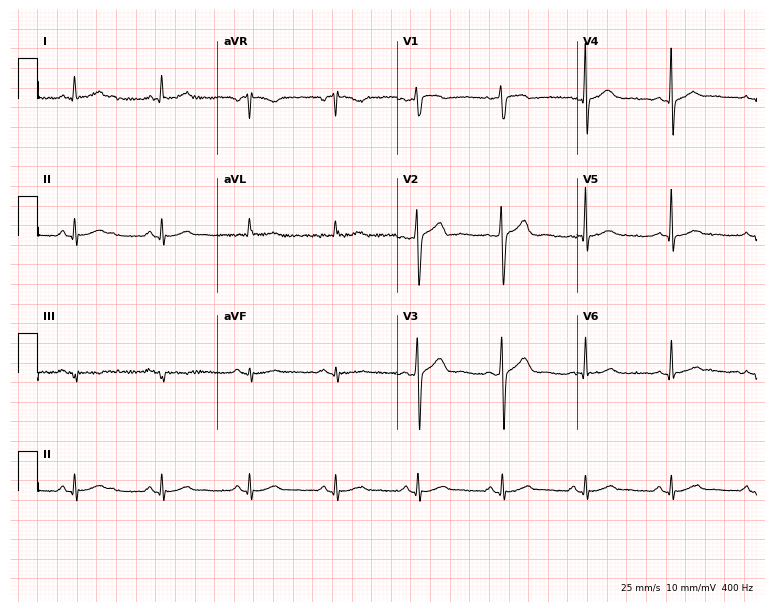
12-lead ECG (7.3-second recording at 400 Hz) from a man, 51 years old. Labelled as a normal ECG.